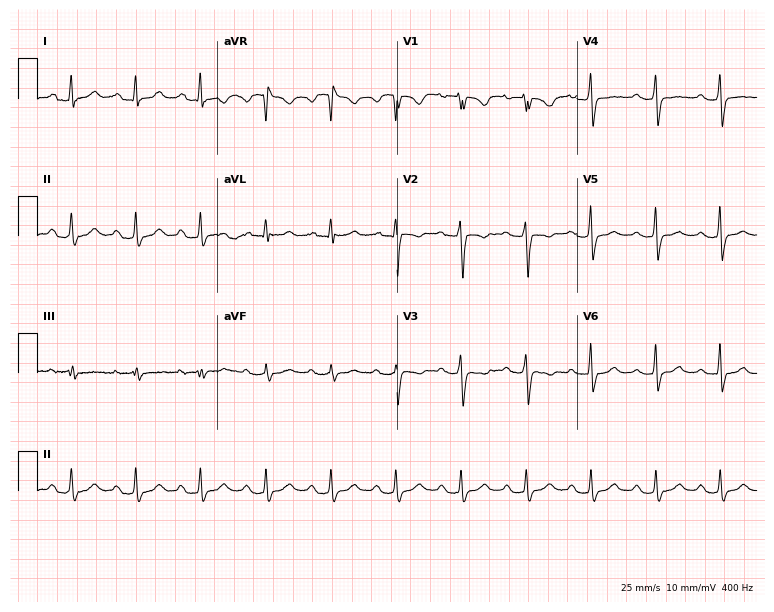
Resting 12-lead electrocardiogram (7.3-second recording at 400 Hz). Patient: a 39-year-old woman. None of these six findings is recorded: first-degree AV block, right bundle branch block, left bundle branch block, sinus bradycardia, atrial fibrillation, sinus tachycardia.